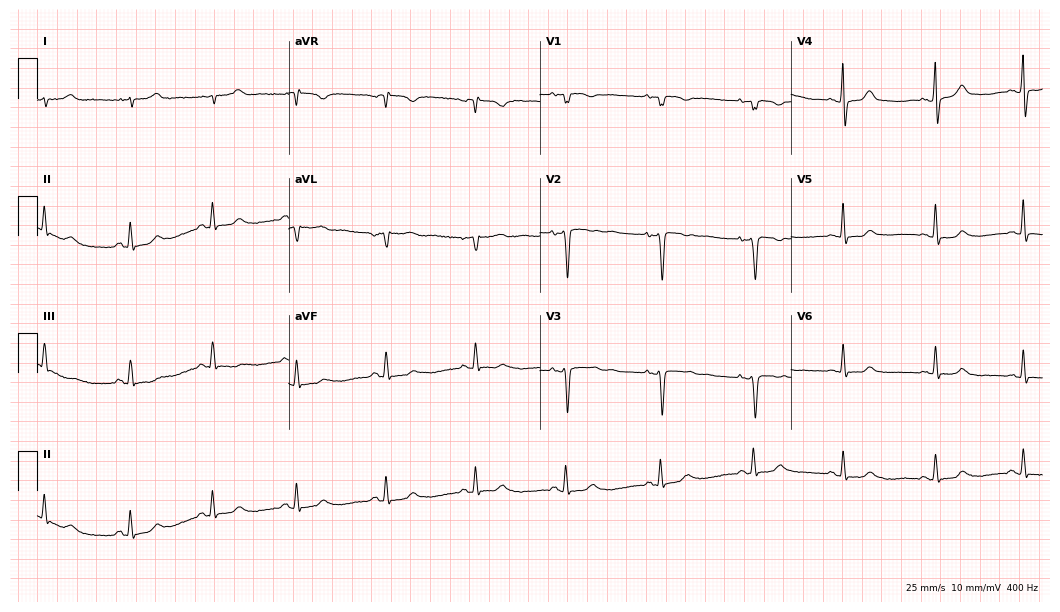
ECG — a 65-year-old female. Screened for six findings — first-degree AV block, right bundle branch block, left bundle branch block, sinus bradycardia, atrial fibrillation, sinus tachycardia — none is recorded. Other findings, if any, are not listed.